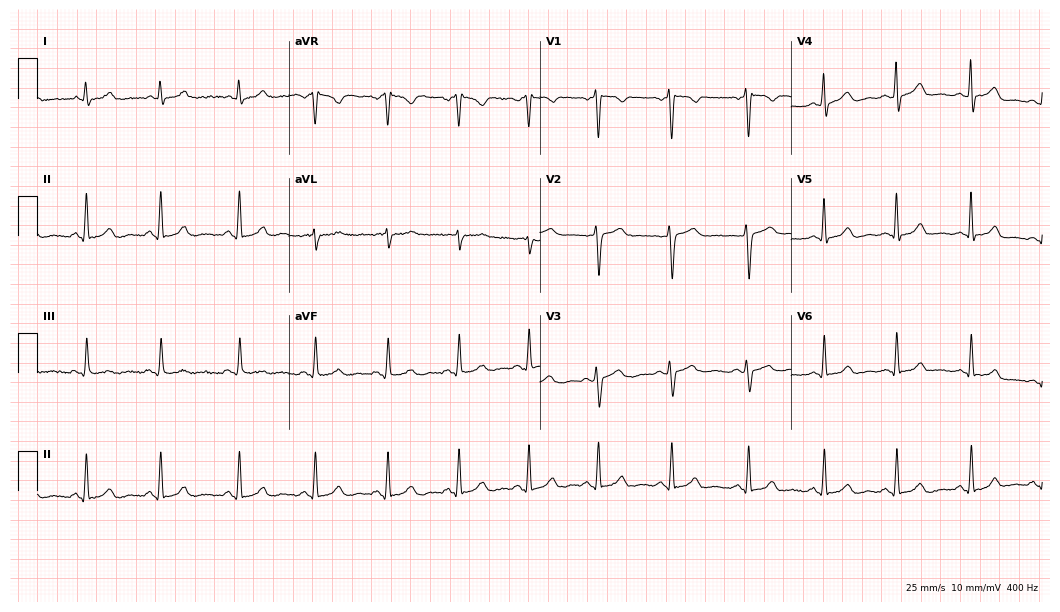
Standard 12-lead ECG recorded from a woman, 37 years old (10.2-second recording at 400 Hz). None of these six findings is recorded: first-degree AV block, right bundle branch block, left bundle branch block, sinus bradycardia, atrial fibrillation, sinus tachycardia.